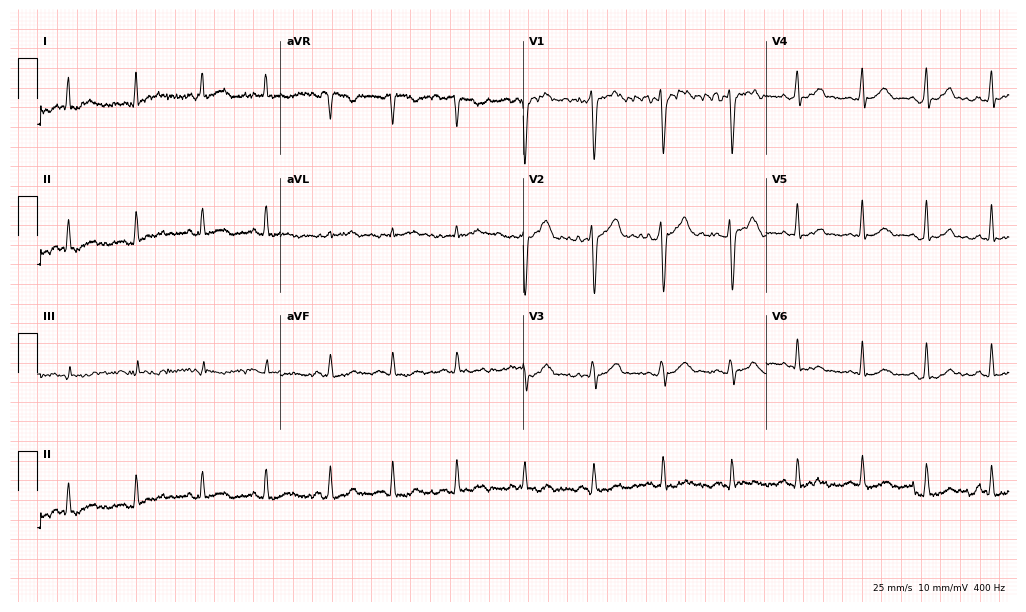
12-lead ECG (9.9-second recording at 400 Hz) from a female, 31 years old. Labelled as a normal ECG.